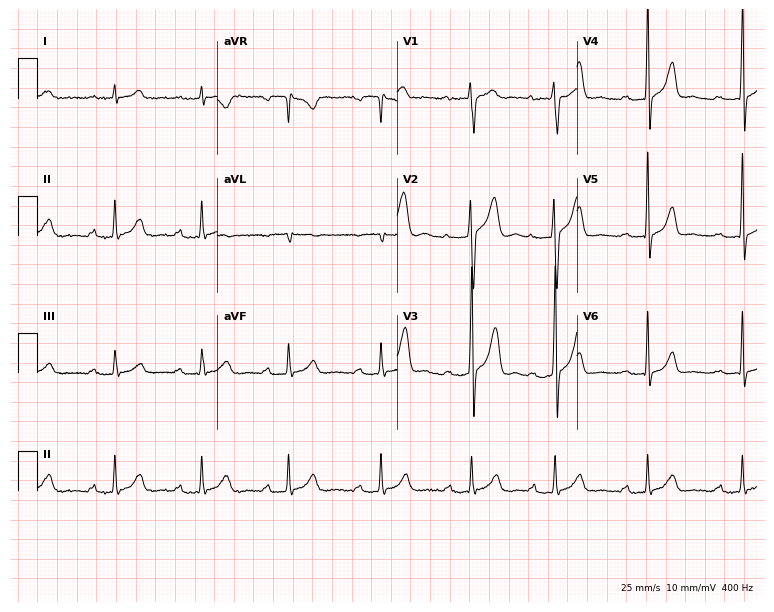
12-lead ECG from a male, 24 years old. Findings include first-degree AV block.